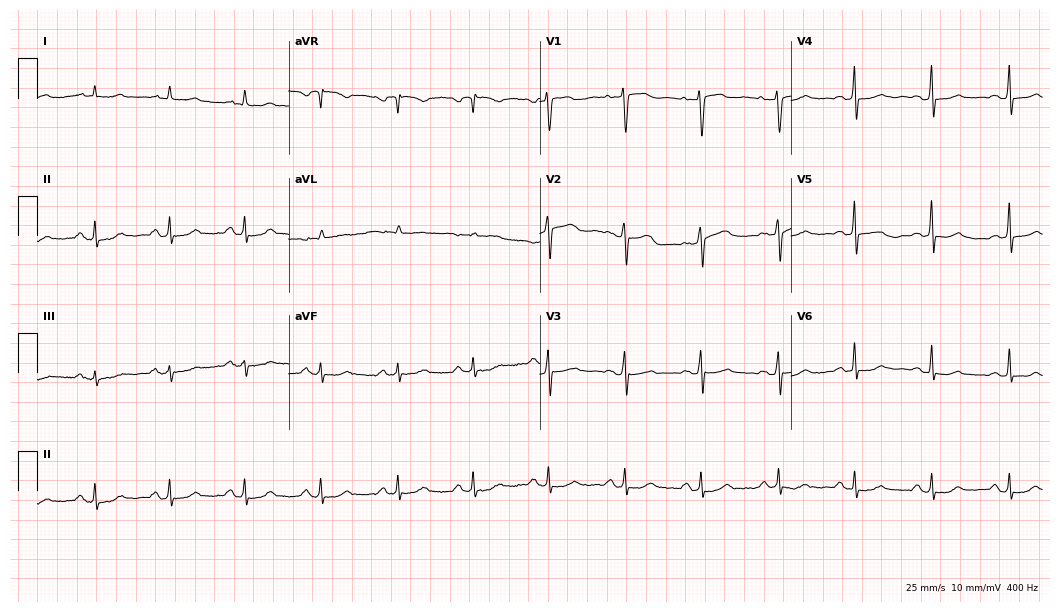
ECG (10.2-second recording at 400 Hz) — a female, 62 years old. Labelled as a normal ECG.